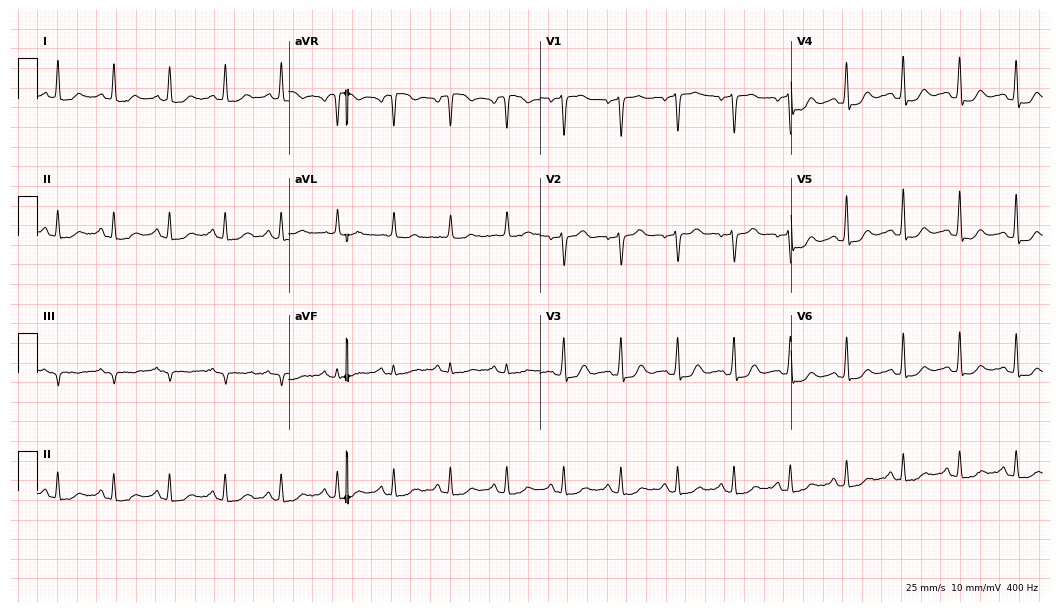
Electrocardiogram (10.2-second recording at 400 Hz), a female, 65 years old. Interpretation includes sinus tachycardia (a sinus rate of 100 beats per minute or more).